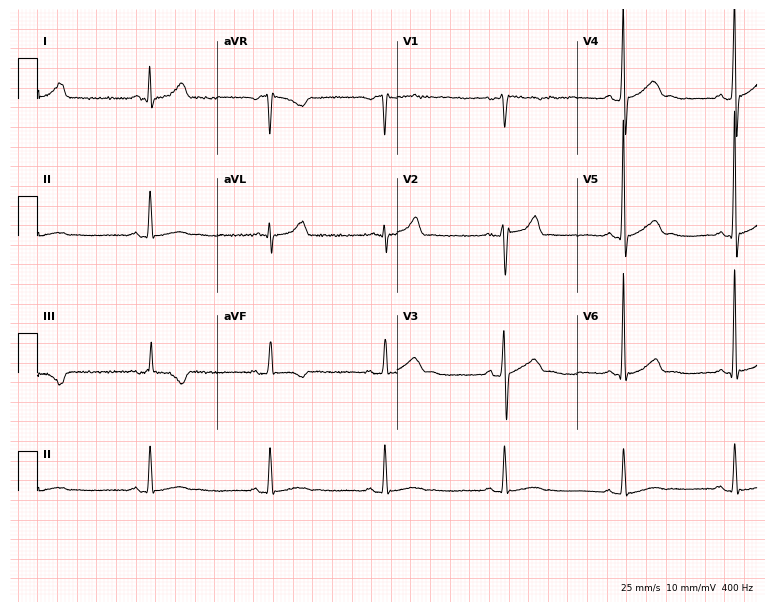
Standard 12-lead ECG recorded from a 37-year-old male patient. None of these six findings is recorded: first-degree AV block, right bundle branch block, left bundle branch block, sinus bradycardia, atrial fibrillation, sinus tachycardia.